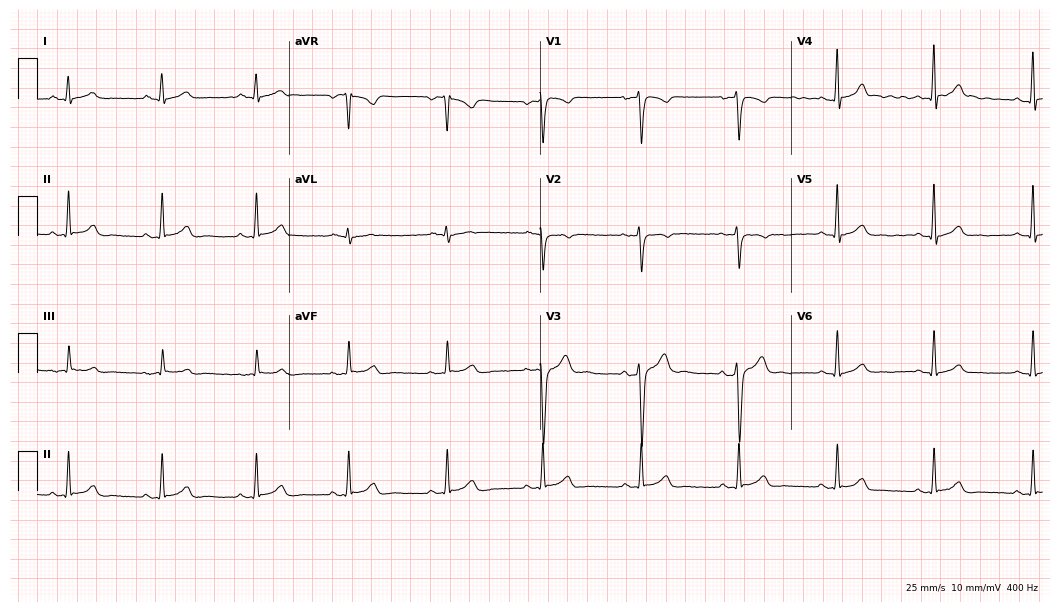
12-lead ECG from a 24-year-old male patient (10.2-second recording at 400 Hz). Recorded interpretation: within normal limits.